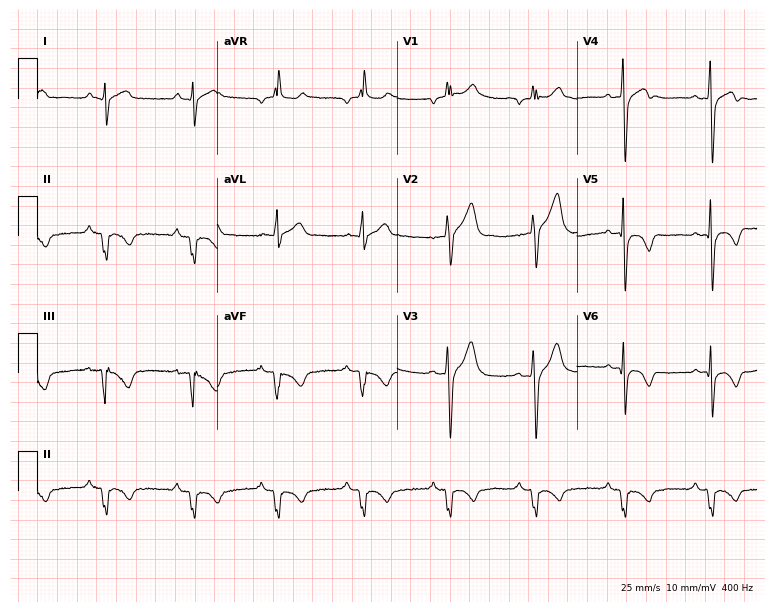
Resting 12-lead electrocardiogram. Patient: a man, 39 years old. None of these six findings is recorded: first-degree AV block, right bundle branch block, left bundle branch block, sinus bradycardia, atrial fibrillation, sinus tachycardia.